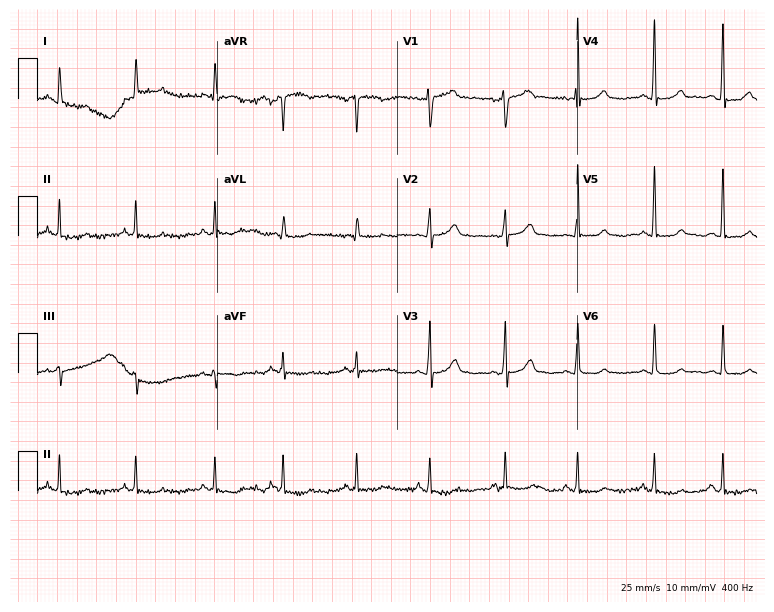
ECG (7.3-second recording at 400 Hz) — a woman, 74 years old. Screened for six findings — first-degree AV block, right bundle branch block (RBBB), left bundle branch block (LBBB), sinus bradycardia, atrial fibrillation (AF), sinus tachycardia — none is recorded.